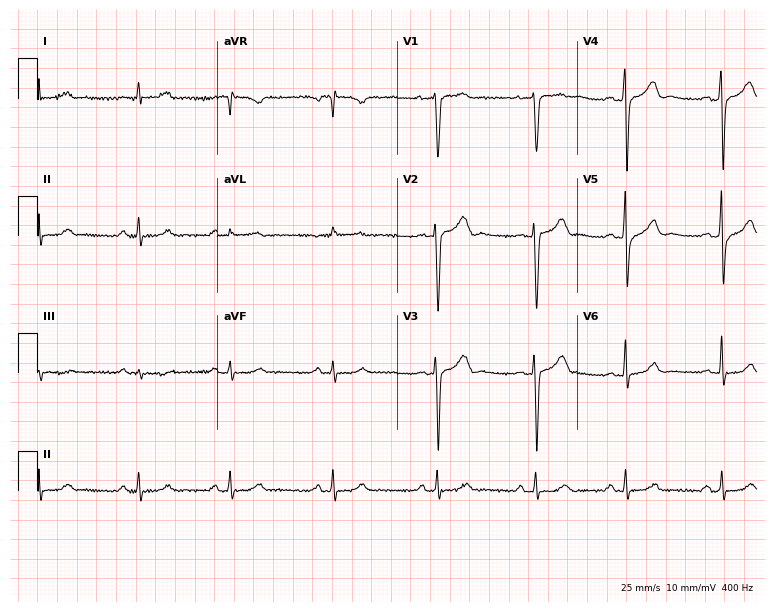
ECG — a 35-year-old man. Screened for six findings — first-degree AV block, right bundle branch block, left bundle branch block, sinus bradycardia, atrial fibrillation, sinus tachycardia — none is recorded.